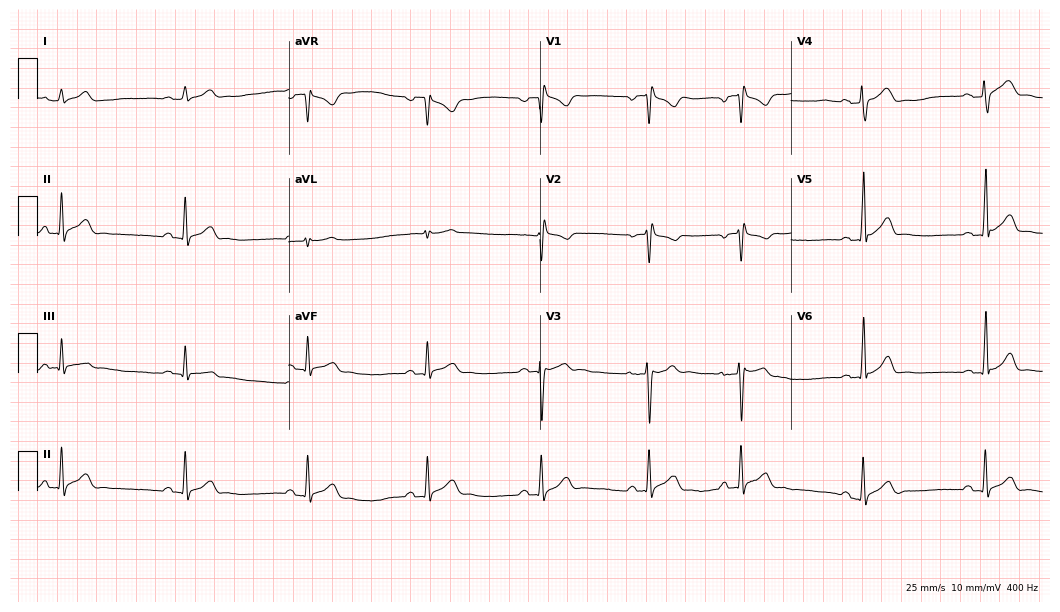
12-lead ECG from a male, 21 years old. No first-degree AV block, right bundle branch block, left bundle branch block, sinus bradycardia, atrial fibrillation or sinus tachycardia recorded for this tracing. Only these six findings were labelled.